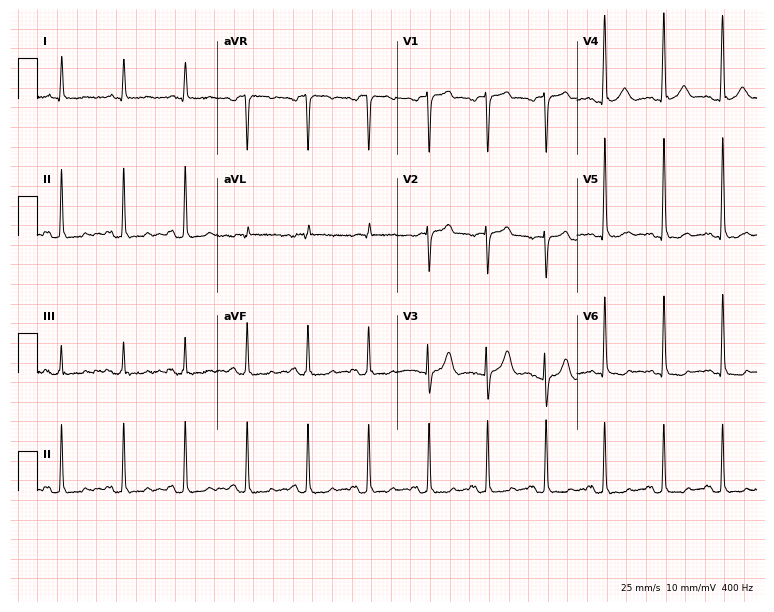
ECG (7.3-second recording at 400 Hz) — a male, 47 years old. Screened for six findings — first-degree AV block, right bundle branch block (RBBB), left bundle branch block (LBBB), sinus bradycardia, atrial fibrillation (AF), sinus tachycardia — none is recorded. Findings outside these six are not listed.